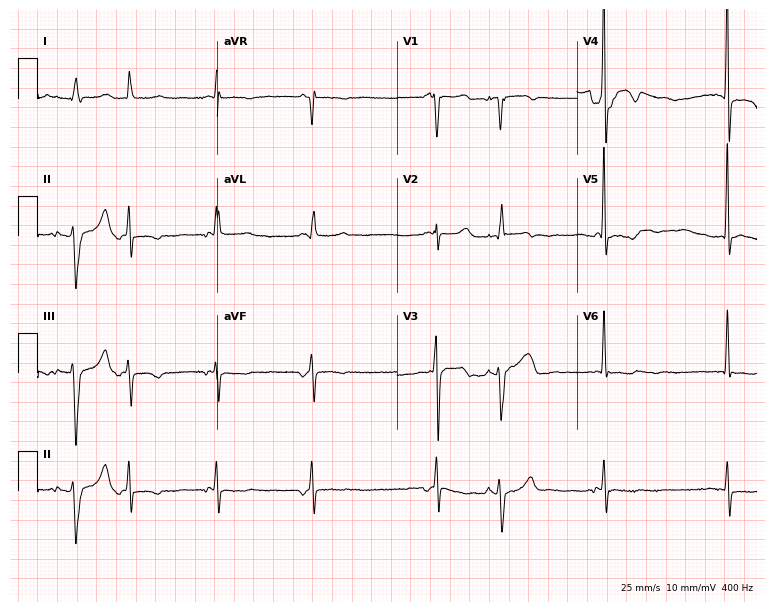
Resting 12-lead electrocardiogram (7.3-second recording at 400 Hz). Patient: an 82-year-old man. None of these six findings is recorded: first-degree AV block, right bundle branch block, left bundle branch block, sinus bradycardia, atrial fibrillation, sinus tachycardia. Only these six findings were labelled.